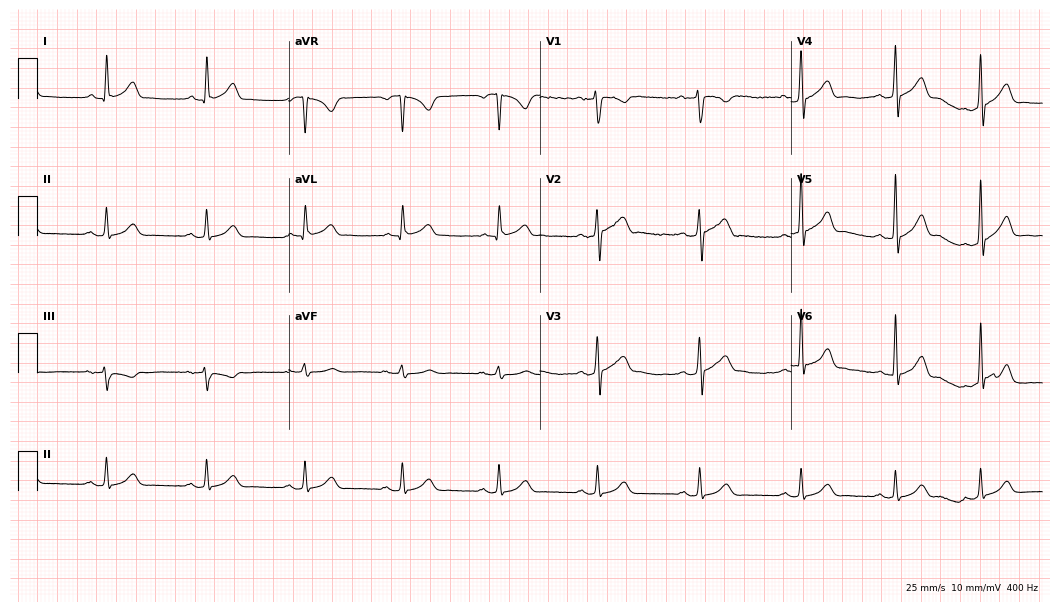
Electrocardiogram, a man, 46 years old. Overall reading on record: normal ECG.